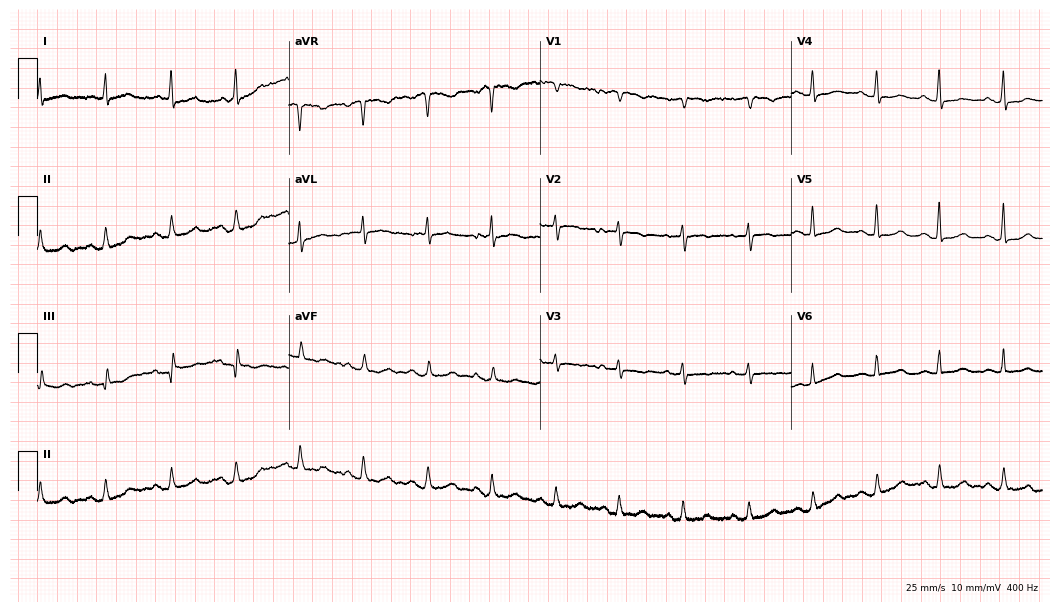
12-lead ECG (10.2-second recording at 400 Hz) from a female patient, 64 years old. Labelled as a normal ECG.